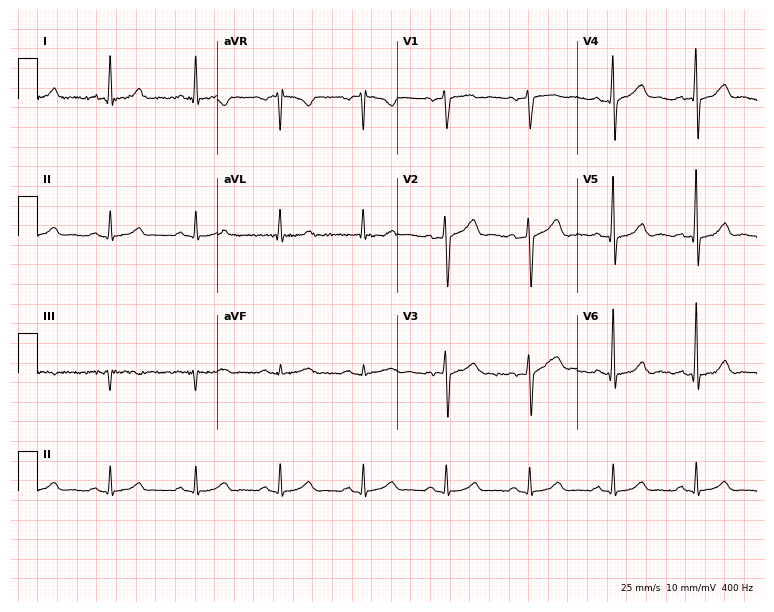
Resting 12-lead electrocardiogram (7.3-second recording at 400 Hz). Patient: a 70-year-old man. Read as a normal ECG.